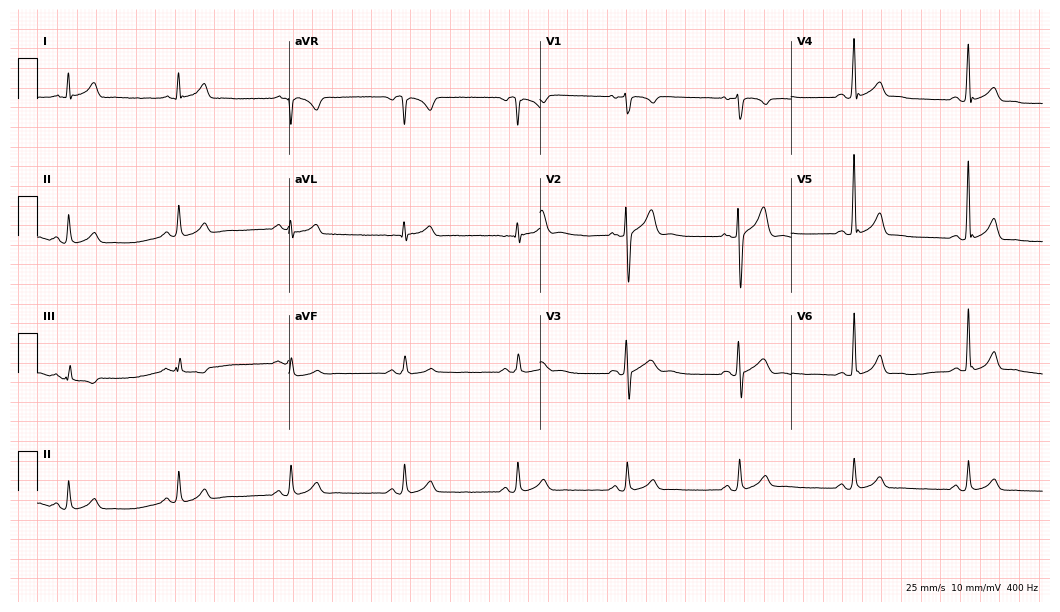
ECG — a 47-year-old man. Labelled as a normal ECG.